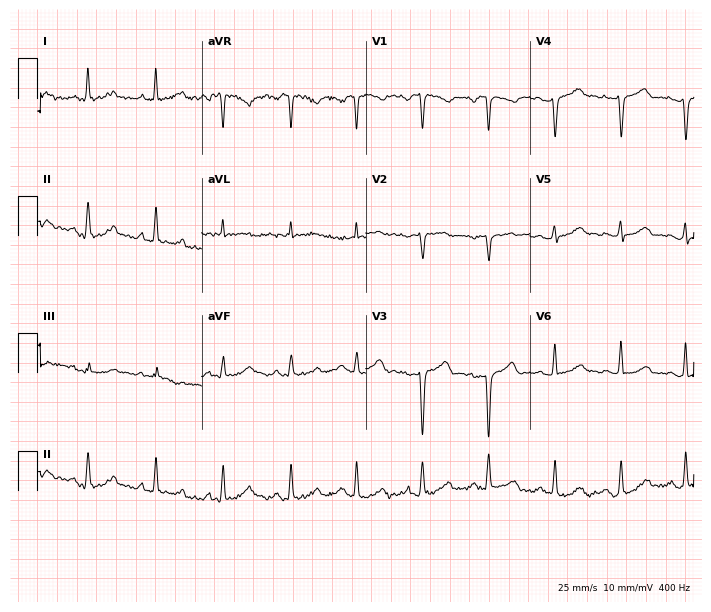
Standard 12-lead ECG recorded from a female, 58 years old (6.7-second recording at 400 Hz). None of these six findings is recorded: first-degree AV block, right bundle branch block, left bundle branch block, sinus bradycardia, atrial fibrillation, sinus tachycardia. Only these six findings were labelled.